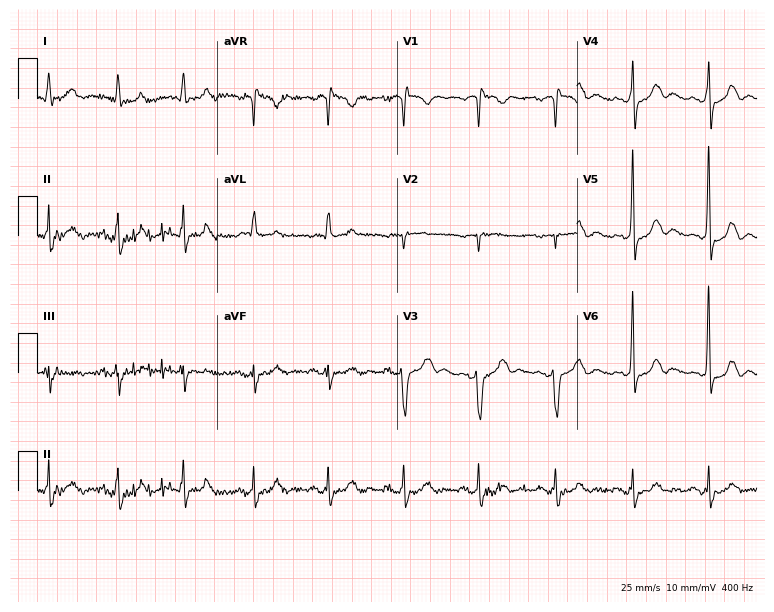
Electrocardiogram, a man, 81 years old. Overall reading on record: normal ECG.